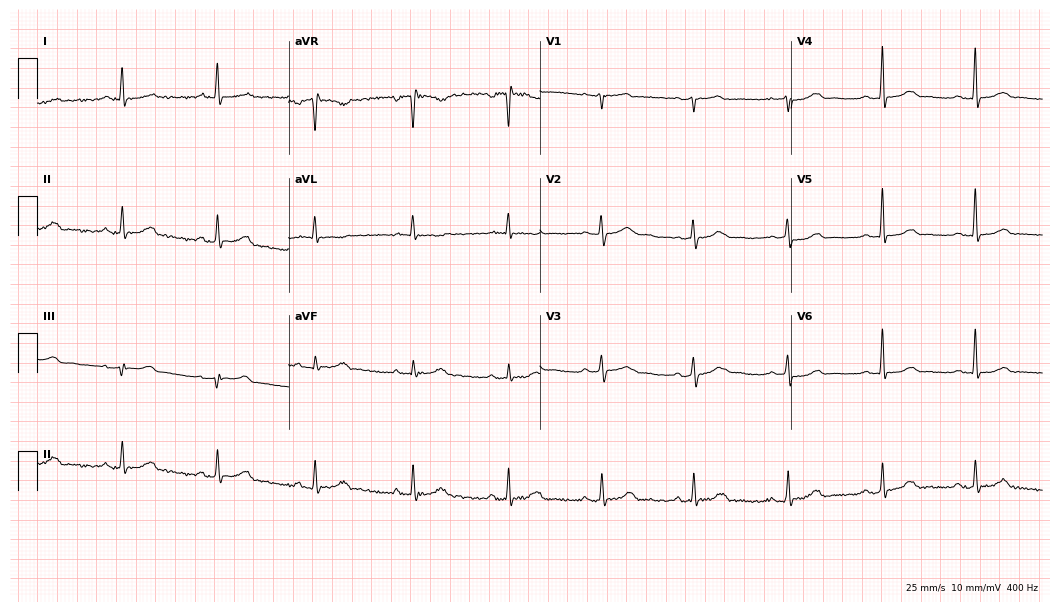
ECG — a 73-year-old female patient. Labelled as a normal ECG.